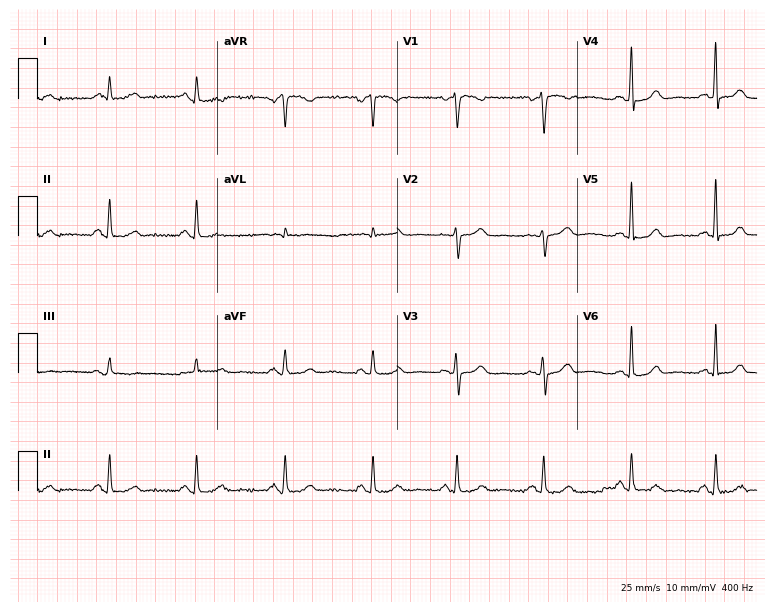
Resting 12-lead electrocardiogram (7.3-second recording at 400 Hz). Patient: a female, 45 years old. None of these six findings is recorded: first-degree AV block, right bundle branch block, left bundle branch block, sinus bradycardia, atrial fibrillation, sinus tachycardia.